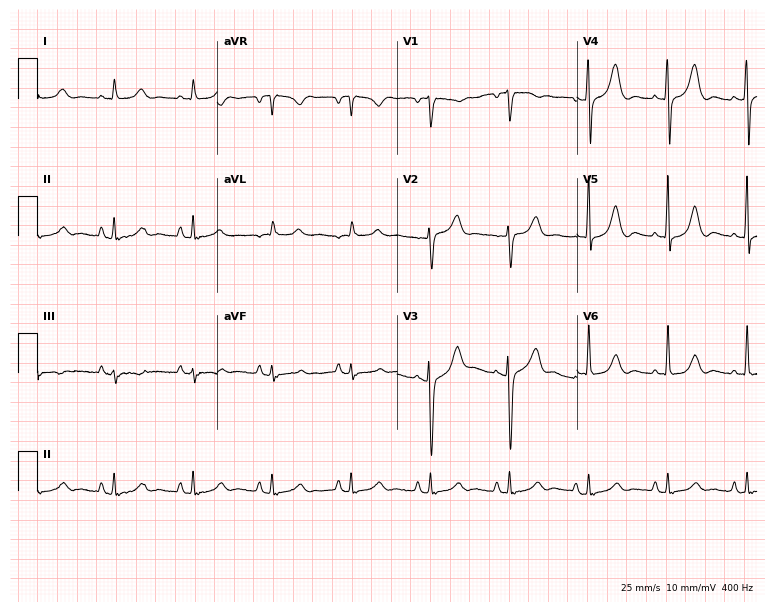
12-lead ECG (7.3-second recording at 400 Hz) from a 71-year-old male. Labelled as a normal ECG.